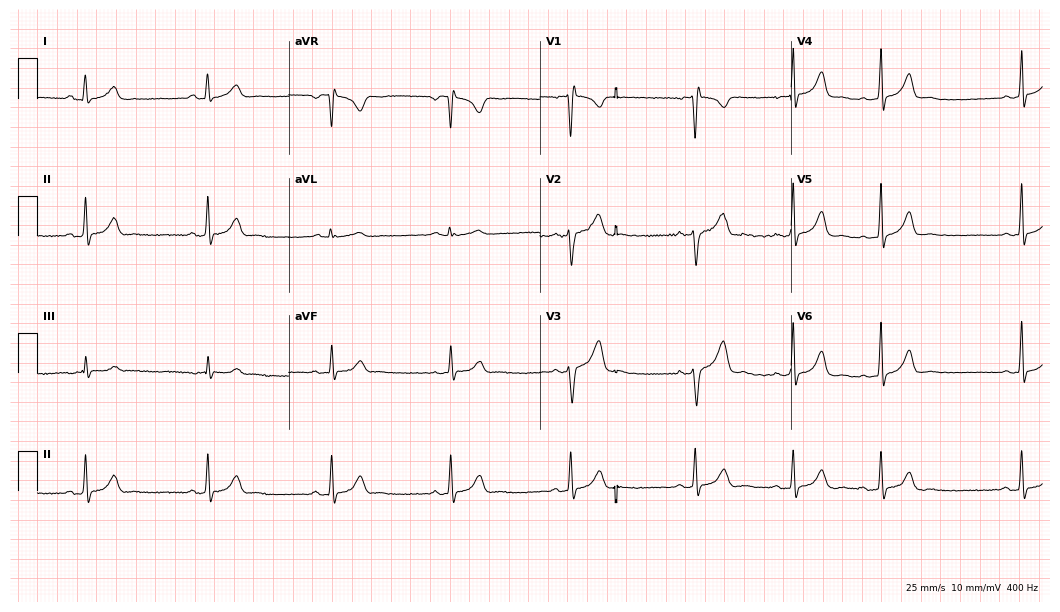
Electrocardiogram (10.2-second recording at 400 Hz), a female, 26 years old. Of the six screened findings (first-degree AV block, right bundle branch block (RBBB), left bundle branch block (LBBB), sinus bradycardia, atrial fibrillation (AF), sinus tachycardia), none is recorded. Other findings, if any, are not listed.